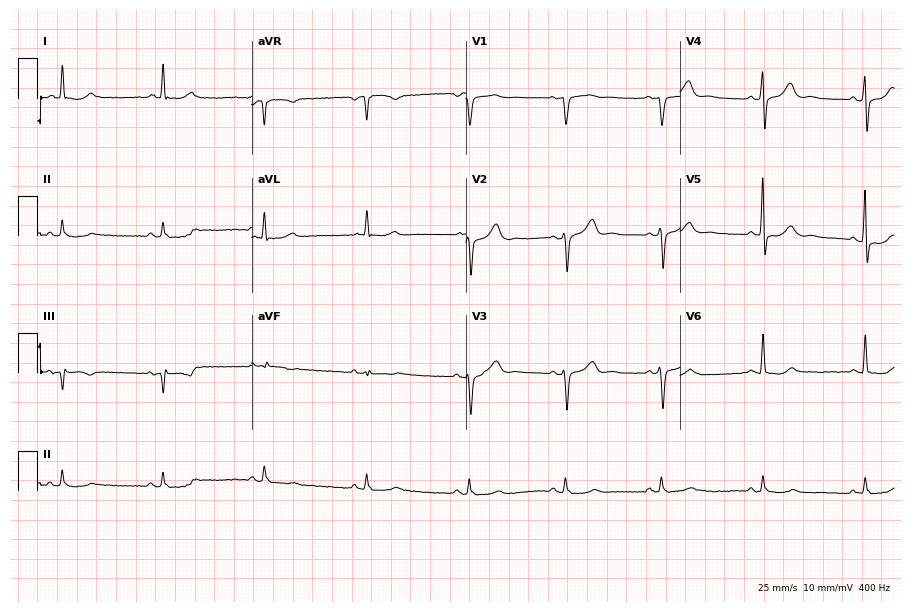
Resting 12-lead electrocardiogram (8.7-second recording at 400 Hz). Patient: a male, 60 years old. None of these six findings is recorded: first-degree AV block, right bundle branch block, left bundle branch block, sinus bradycardia, atrial fibrillation, sinus tachycardia.